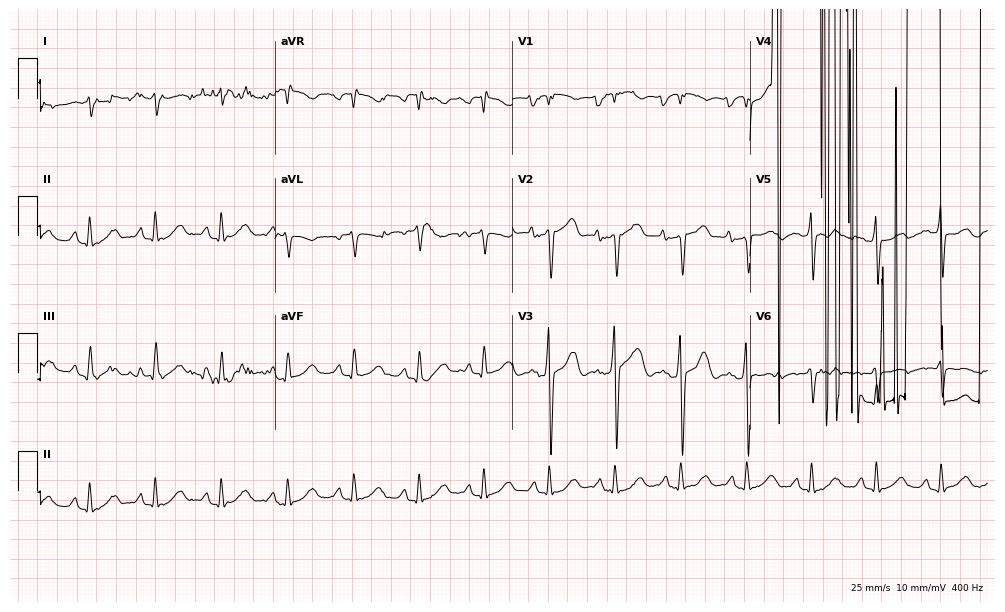
Resting 12-lead electrocardiogram (9.7-second recording at 400 Hz). Patient: a 61-year-old female. None of these six findings is recorded: first-degree AV block, right bundle branch block (RBBB), left bundle branch block (LBBB), sinus bradycardia, atrial fibrillation (AF), sinus tachycardia. Findings outside these six are not listed.